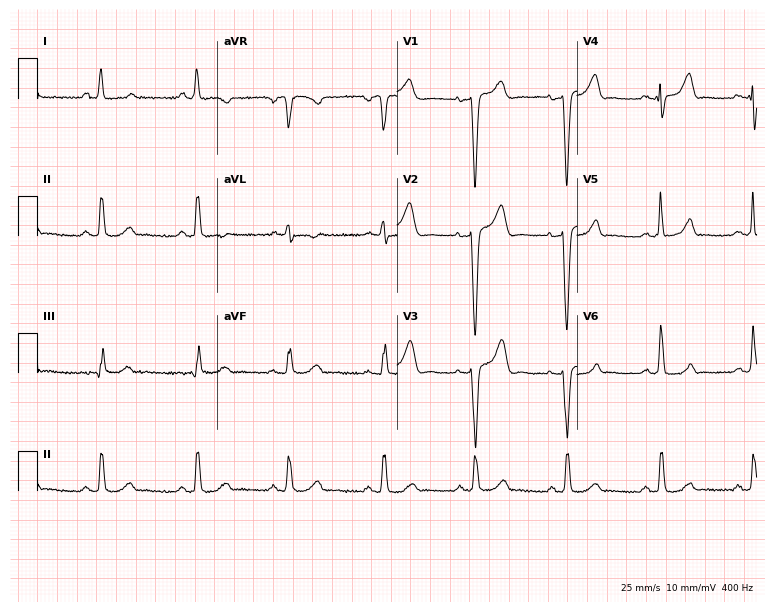
12-lead ECG from a female, 59 years old. No first-degree AV block, right bundle branch block (RBBB), left bundle branch block (LBBB), sinus bradycardia, atrial fibrillation (AF) or sinus tachycardia recorded for this tracing.